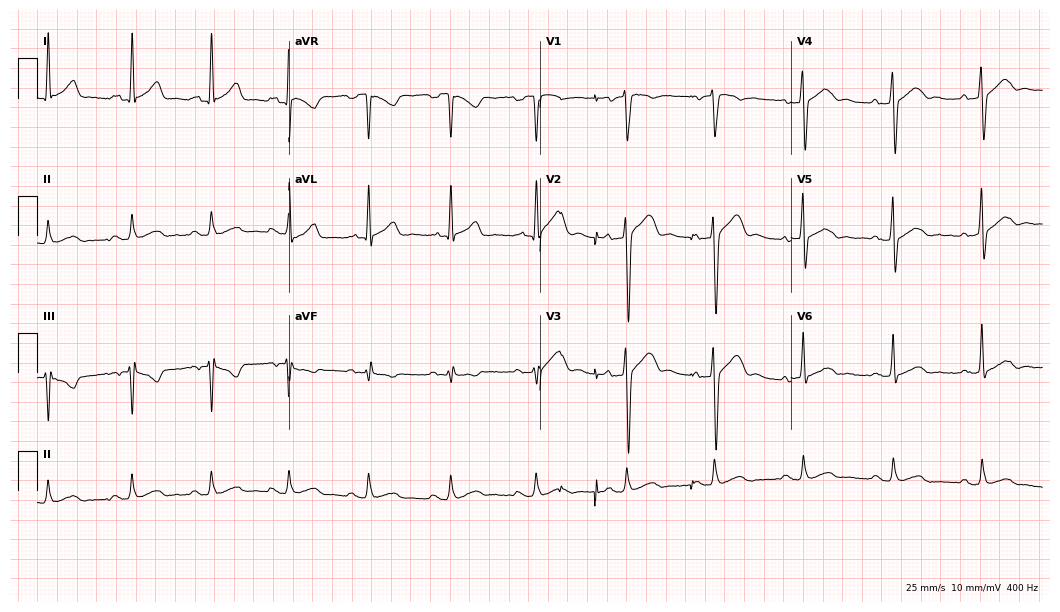
ECG (10.2-second recording at 400 Hz) — a male patient, 37 years old. Labelled as a normal ECG.